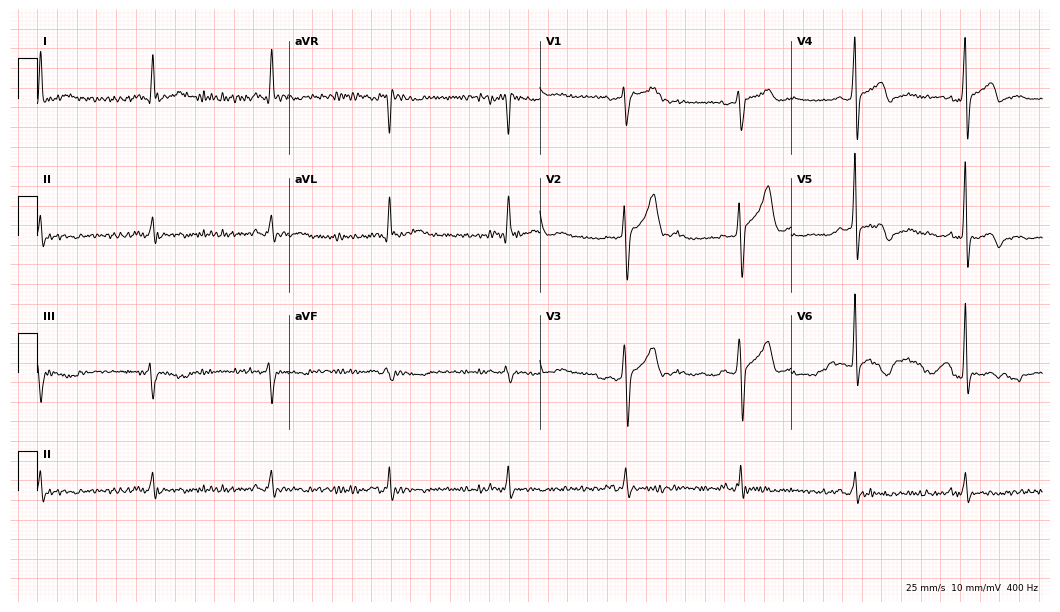
12-lead ECG (10.2-second recording at 400 Hz) from a 53-year-old male. Screened for six findings — first-degree AV block, right bundle branch block, left bundle branch block, sinus bradycardia, atrial fibrillation, sinus tachycardia — none is recorded. Findings outside these six are not listed.